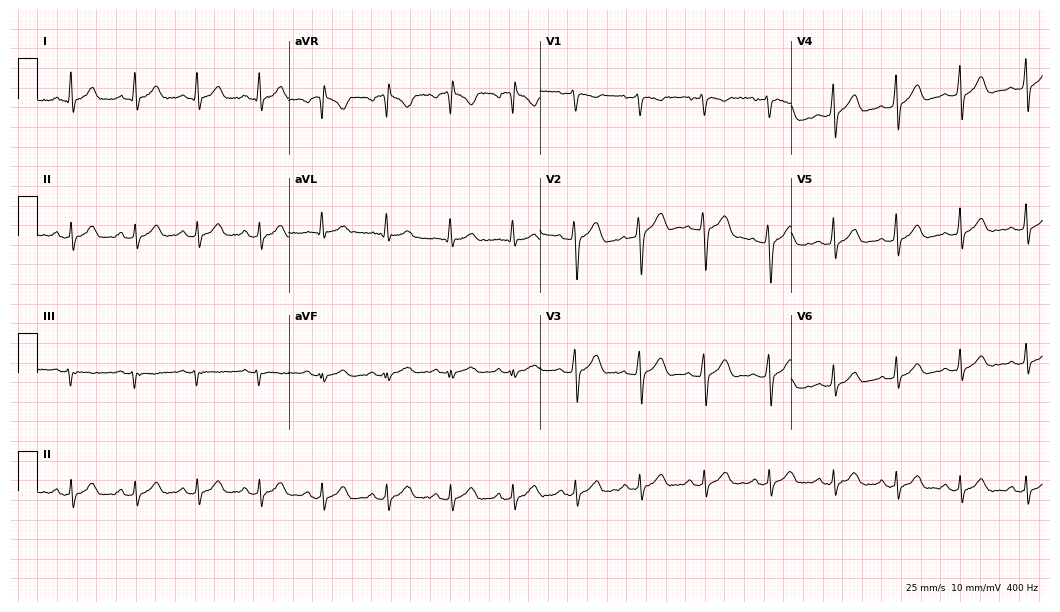
12-lead ECG from a male patient, 31 years old. Screened for six findings — first-degree AV block, right bundle branch block, left bundle branch block, sinus bradycardia, atrial fibrillation, sinus tachycardia — none is recorded.